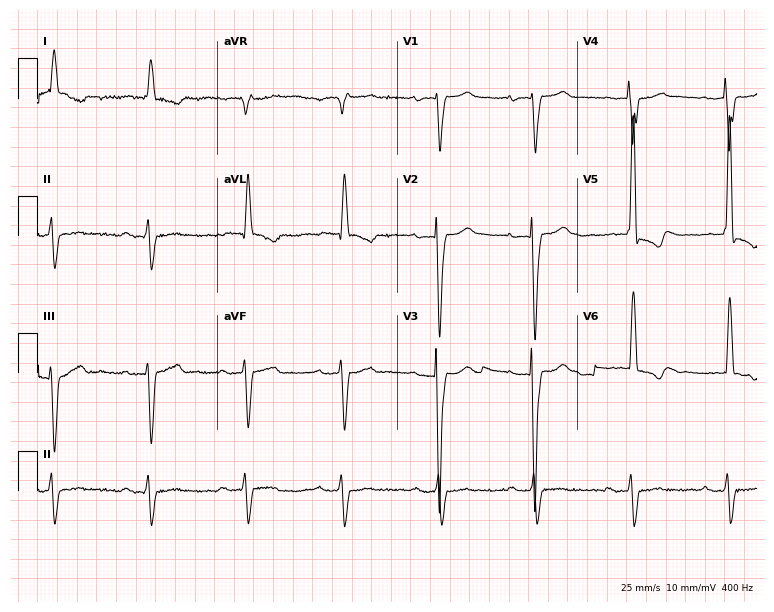
Standard 12-lead ECG recorded from a man, 76 years old (7.3-second recording at 400 Hz). The tracing shows first-degree AV block.